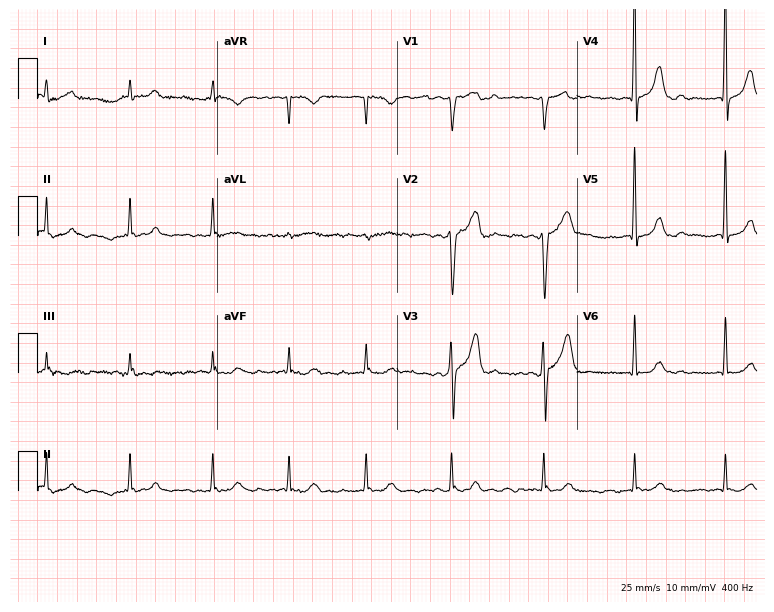
Electrocardiogram, an 82-year-old male. Interpretation includes atrial fibrillation (AF).